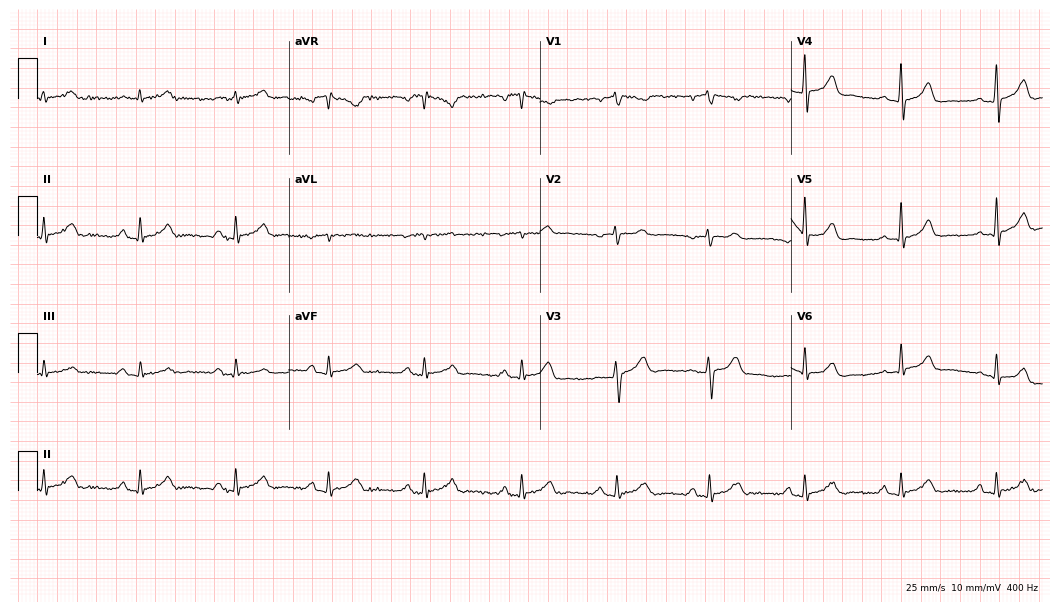
ECG (10.2-second recording at 400 Hz) — a 62-year-old male. Labelled as a normal ECG.